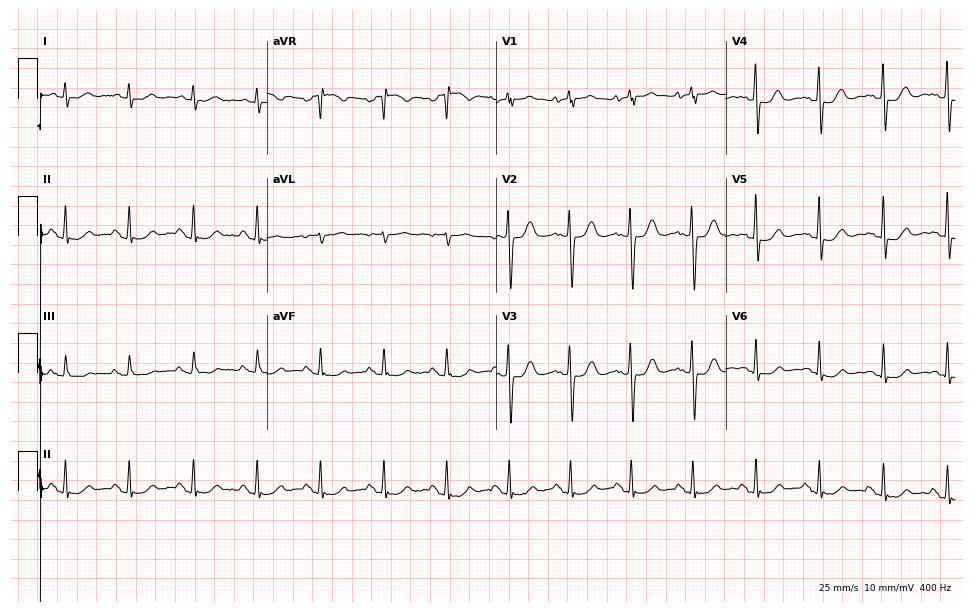
ECG (9.4-second recording at 400 Hz) — a 54-year-old female. Labelled as a normal ECG.